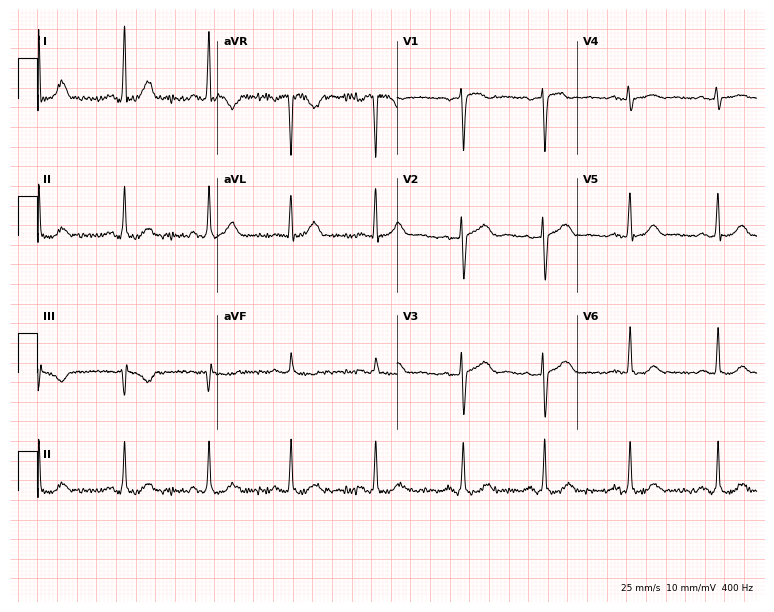
12-lead ECG from a 32-year-old woman. Screened for six findings — first-degree AV block, right bundle branch block, left bundle branch block, sinus bradycardia, atrial fibrillation, sinus tachycardia — none is recorded. Other findings, if any, are not listed.